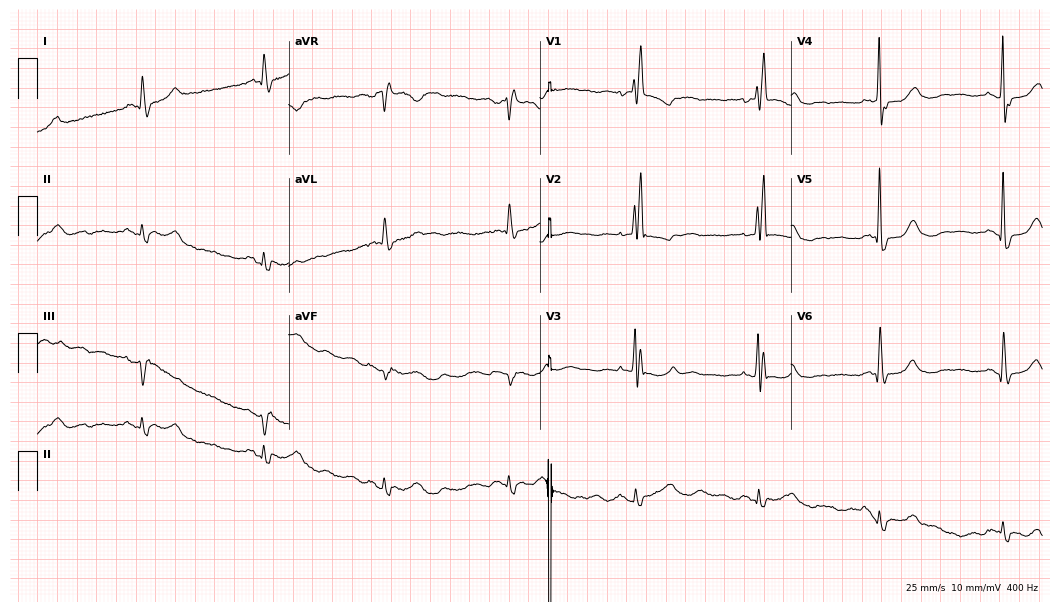
Standard 12-lead ECG recorded from a female patient, 73 years old (10.2-second recording at 400 Hz). None of these six findings is recorded: first-degree AV block, right bundle branch block (RBBB), left bundle branch block (LBBB), sinus bradycardia, atrial fibrillation (AF), sinus tachycardia. Findings outside these six are not listed.